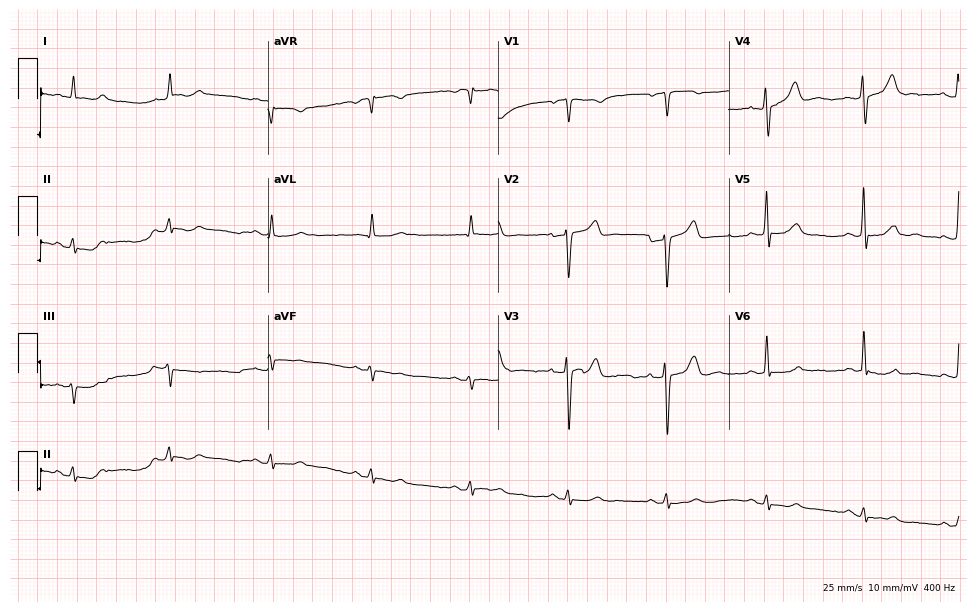
Resting 12-lead electrocardiogram (9.4-second recording at 400 Hz). Patient: a 61-year-old male. Read as a normal ECG.